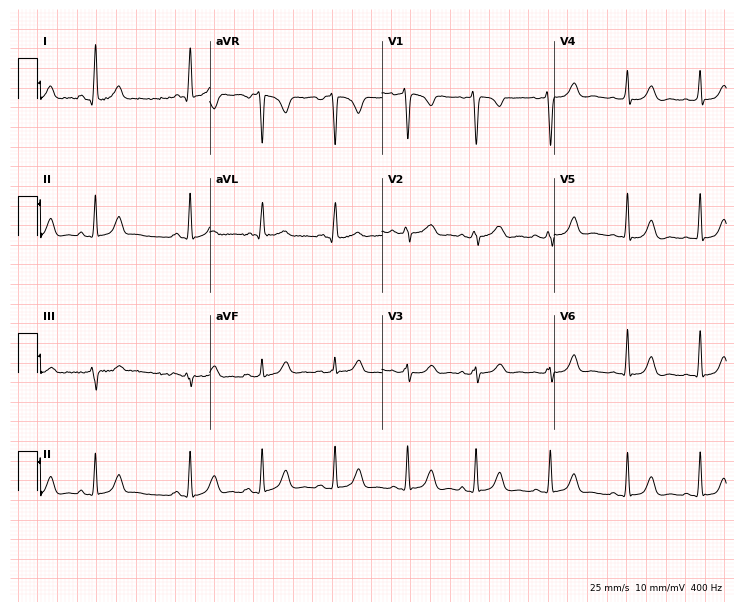
12-lead ECG from a woman, 29 years old. Screened for six findings — first-degree AV block, right bundle branch block, left bundle branch block, sinus bradycardia, atrial fibrillation, sinus tachycardia — none is recorded.